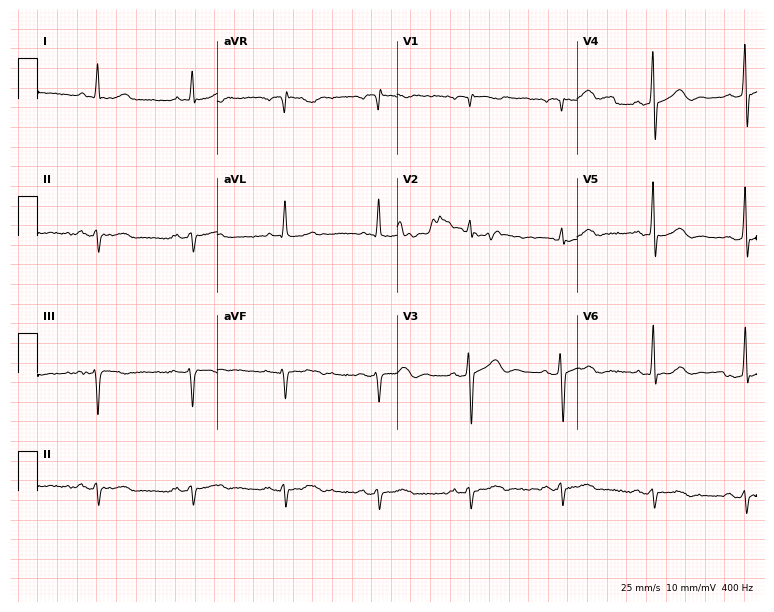
12-lead ECG from a 64-year-old male (7.3-second recording at 400 Hz). No first-degree AV block, right bundle branch block, left bundle branch block, sinus bradycardia, atrial fibrillation or sinus tachycardia recorded for this tracing.